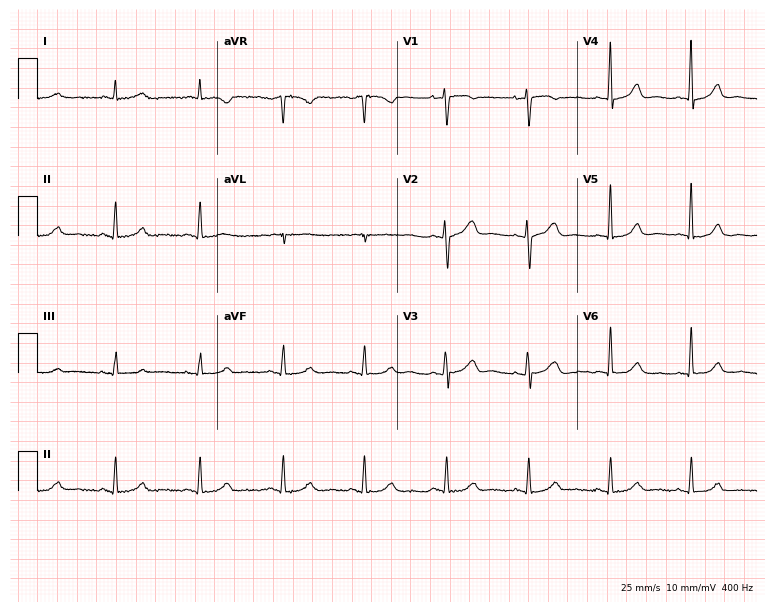
Standard 12-lead ECG recorded from a female, 50 years old. Read as a normal ECG.